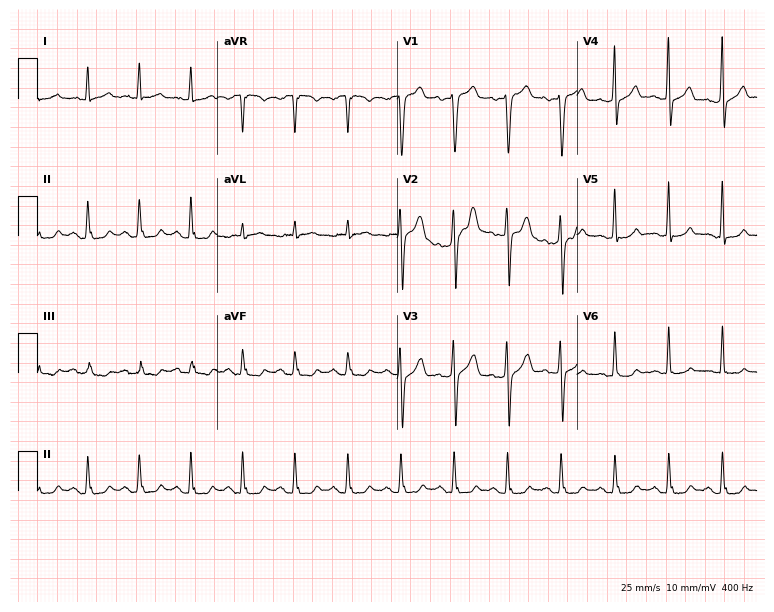
12-lead ECG from a male patient, 46 years old (7.3-second recording at 400 Hz). No first-degree AV block, right bundle branch block (RBBB), left bundle branch block (LBBB), sinus bradycardia, atrial fibrillation (AF) or sinus tachycardia recorded for this tracing.